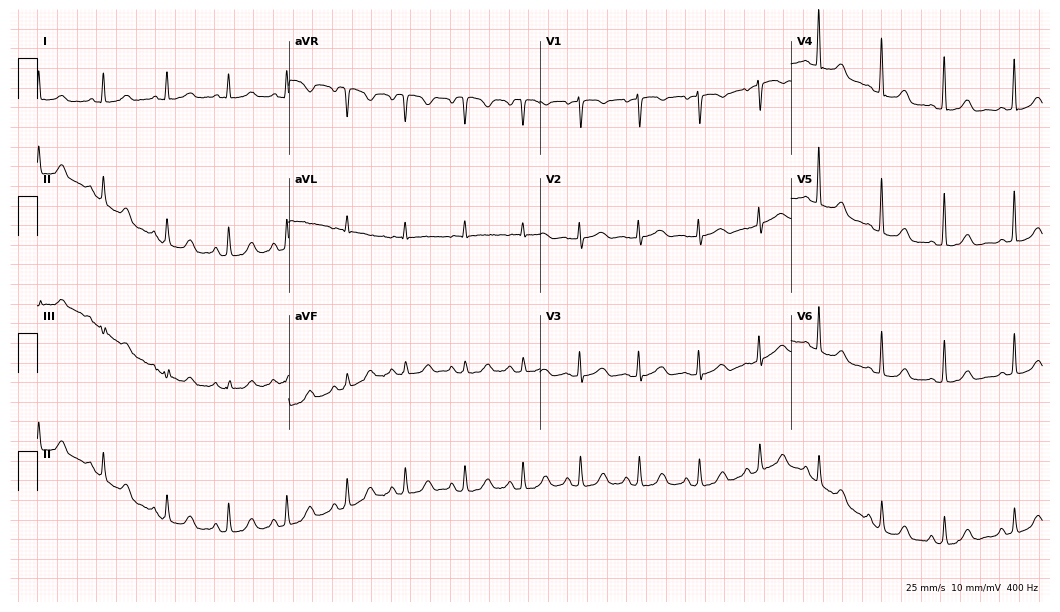
12-lead ECG from a female patient, 64 years old. No first-degree AV block, right bundle branch block, left bundle branch block, sinus bradycardia, atrial fibrillation or sinus tachycardia recorded for this tracing.